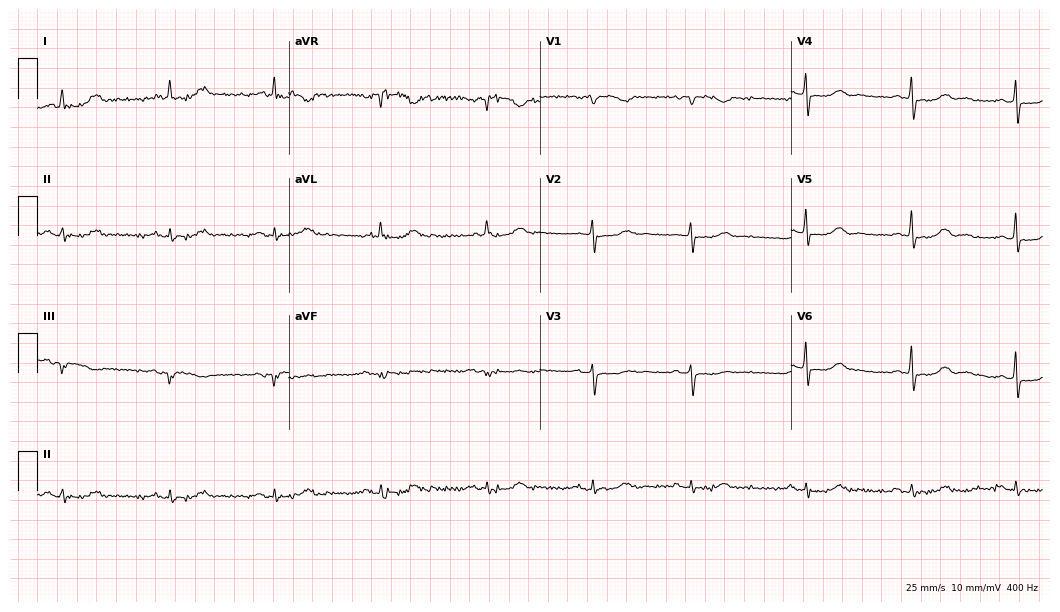
Electrocardiogram (10.2-second recording at 400 Hz), a 75-year-old female patient. Overall reading on record: normal ECG.